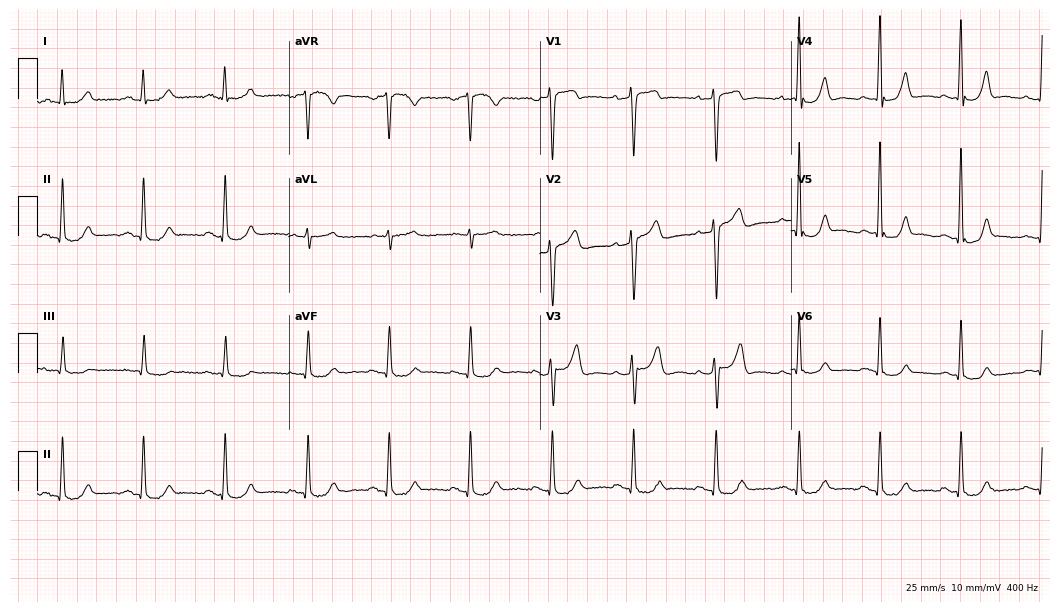
Electrocardiogram (10.2-second recording at 400 Hz), a man, 59 years old. Overall reading on record: normal ECG.